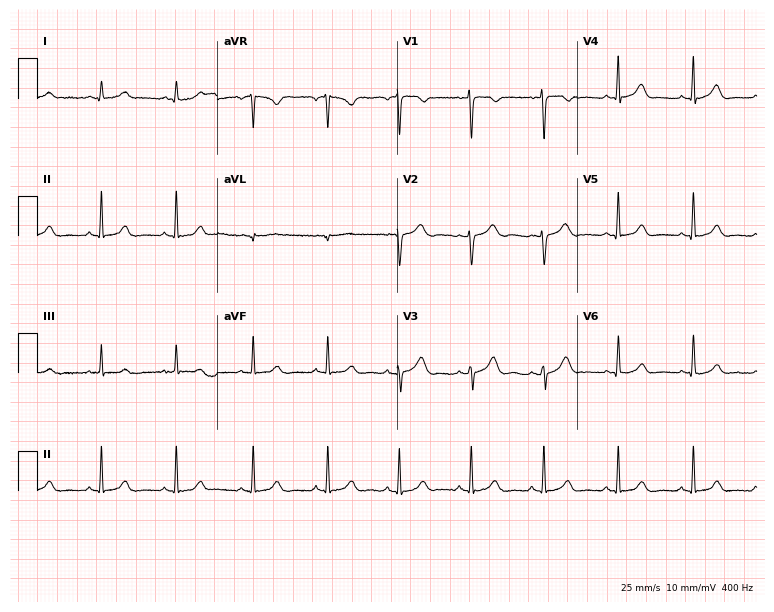
Standard 12-lead ECG recorded from a woman, 43 years old. Read as a normal ECG.